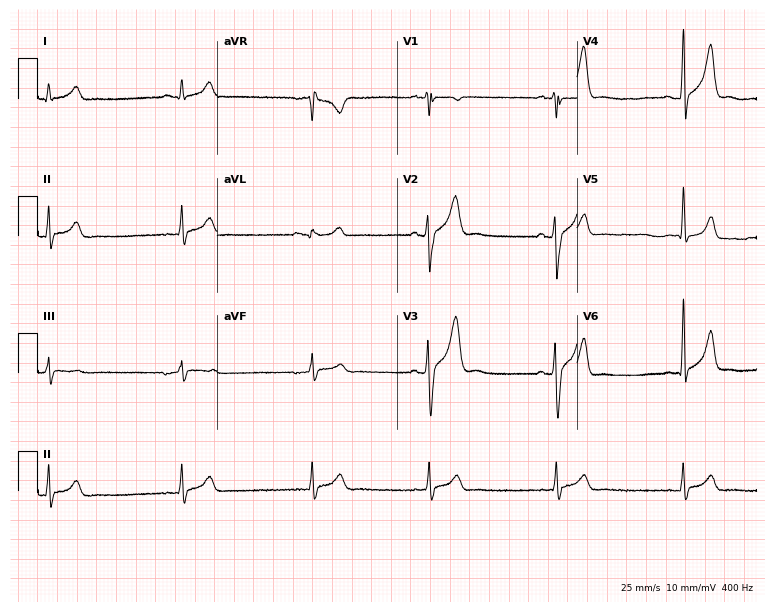
12-lead ECG from a 22-year-old male. Findings include sinus bradycardia (a sinus rate of 50 beats per minute or less).